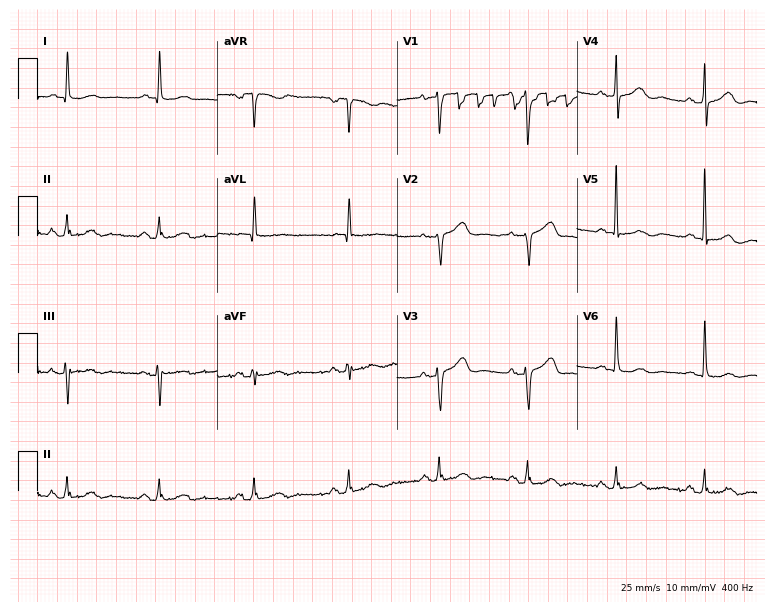
ECG (7.3-second recording at 400 Hz) — an 85-year-old female. Screened for six findings — first-degree AV block, right bundle branch block (RBBB), left bundle branch block (LBBB), sinus bradycardia, atrial fibrillation (AF), sinus tachycardia — none is recorded.